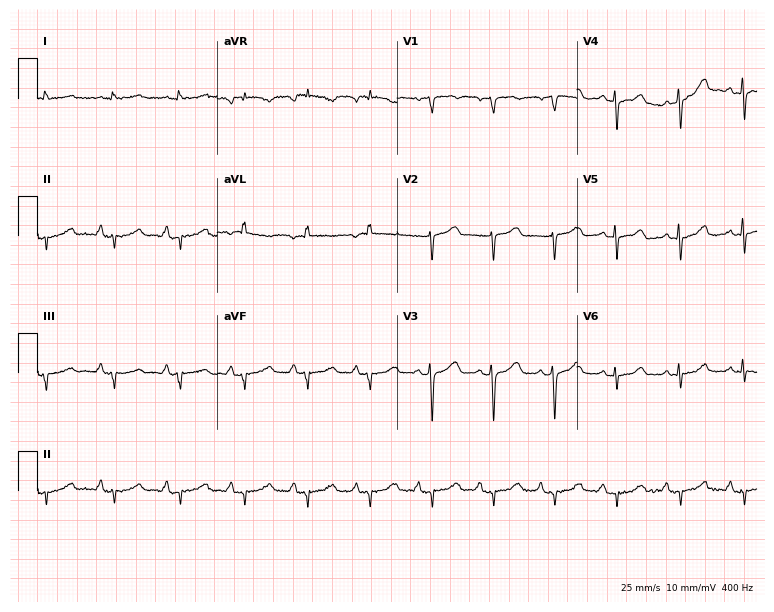
12-lead ECG from a 65-year-old female. Screened for six findings — first-degree AV block, right bundle branch block (RBBB), left bundle branch block (LBBB), sinus bradycardia, atrial fibrillation (AF), sinus tachycardia — none is recorded.